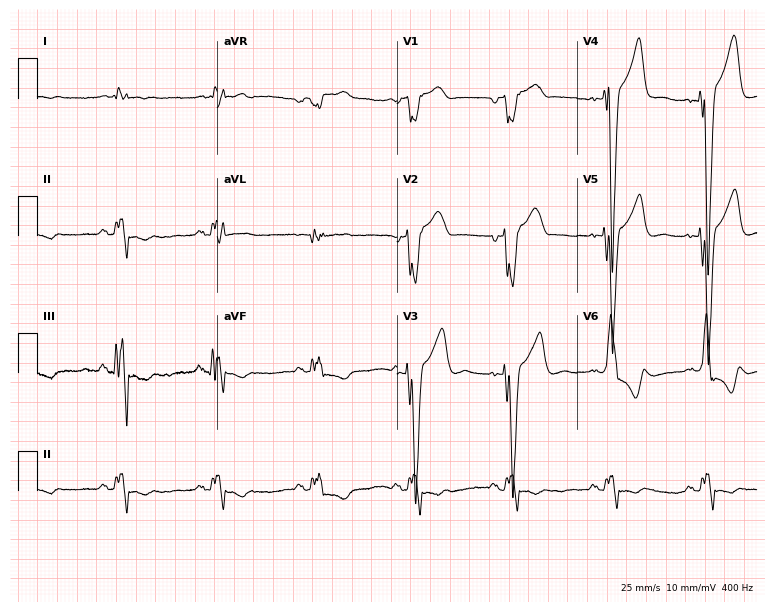
Resting 12-lead electrocardiogram. Patient: a man, 66 years old. The tracing shows left bundle branch block.